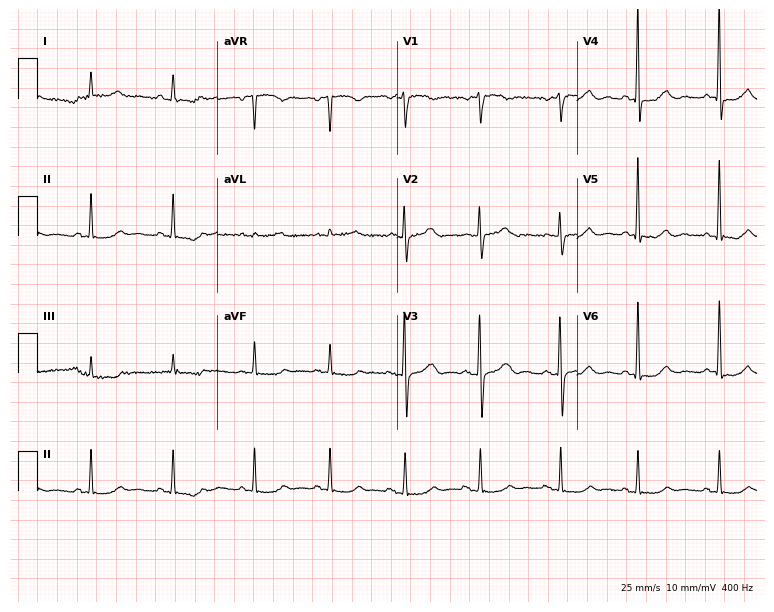
12-lead ECG (7.3-second recording at 400 Hz) from a man, 60 years old. Labelled as a normal ECG.